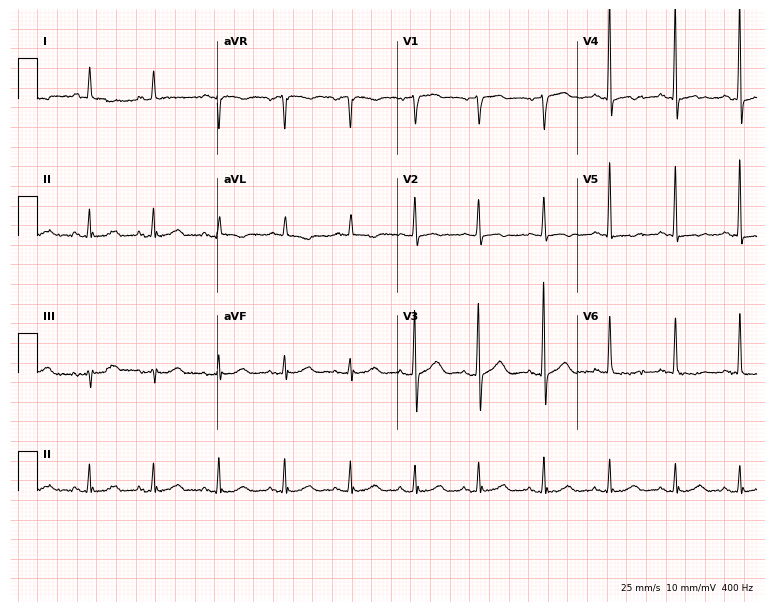
12-lead ECG from a female, 83 years old. No first-degree AV block, right bundle branch block (RBBB), left bundle branch block (LBBB), sinus bradycardia, atrial fibrillation (AF) or sinus tachycardia recorded for this tracing.